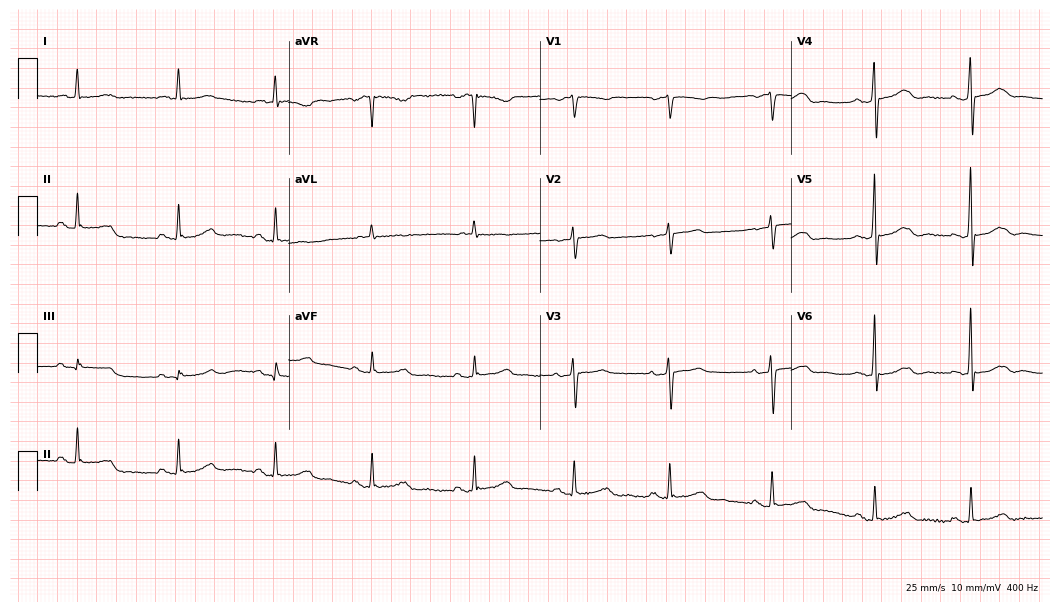
12-lead ECG from a female, 67 years old. Recorded interpretation: within normal limits.